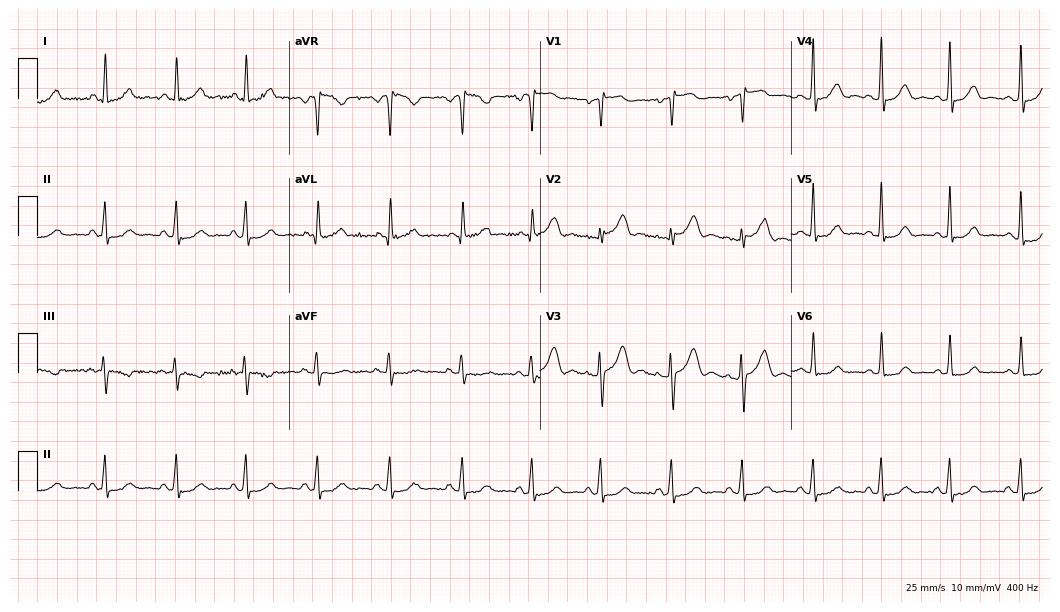
Electrocardiogram, a woman, 64 years old. Overall reading on record: normal ECG.